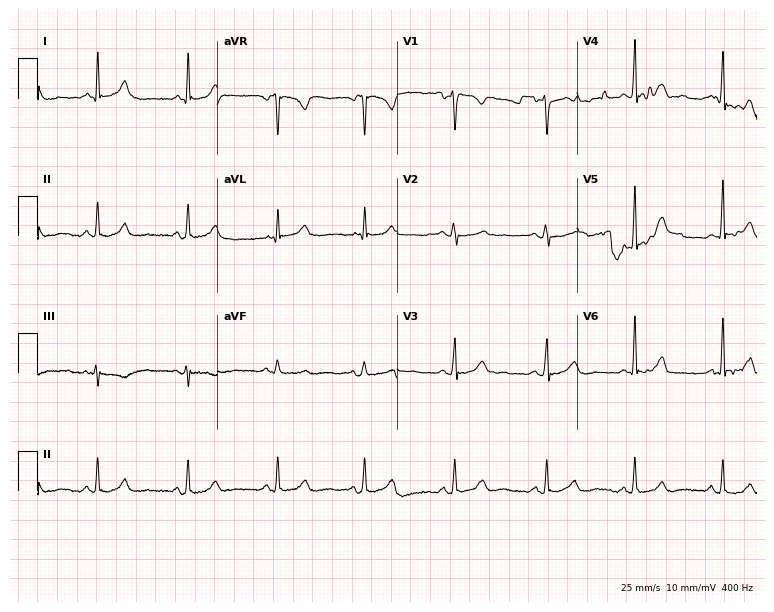
Electrocardiogram, a 45-year-old female patient. Overall reading on record: normal ECG.